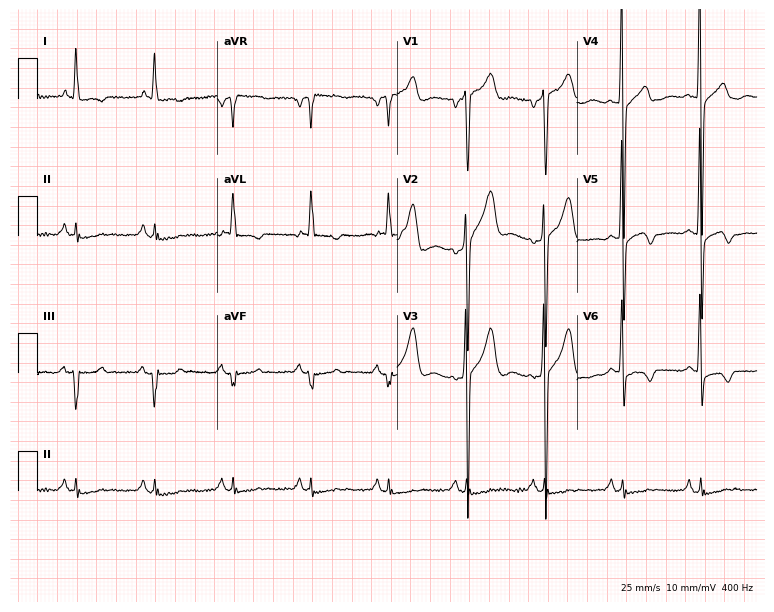
Resting 12-lead electrocardiogram (7.3-second recording at 400 Hz). Patient: a 71-year-old man. Read as a normal ECG.